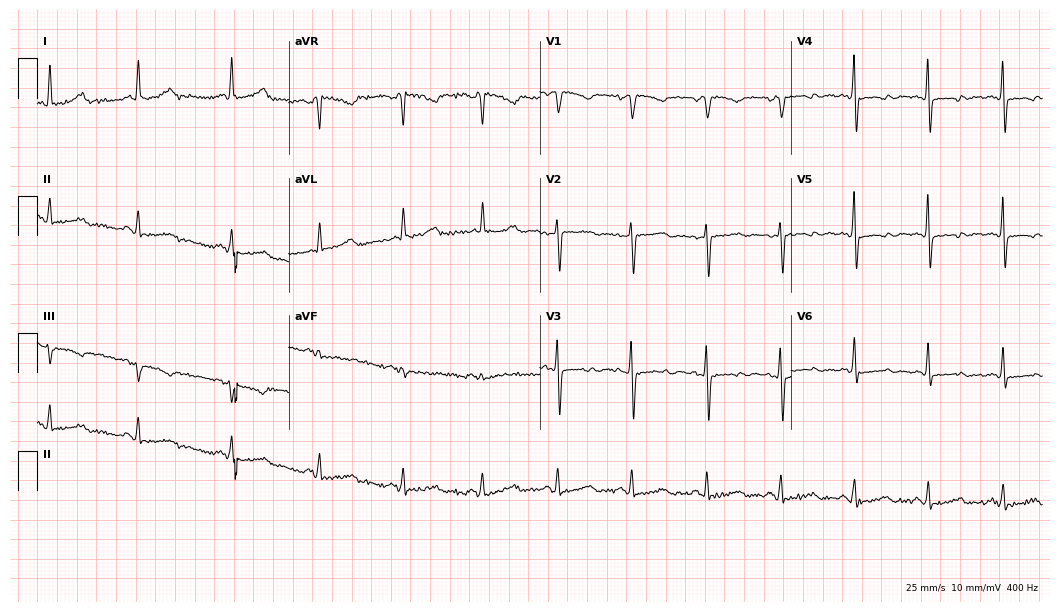
ECG (10.2-second recording at 400 Hz) — a female, 72 years old. Screened for six findings — first-degree AV block, right bundle branch block, left bundle branch block, sinus bradycardia, atrial fibrillation, sinus tachycardia — none is recorded. Other findings, if any, are not listed.